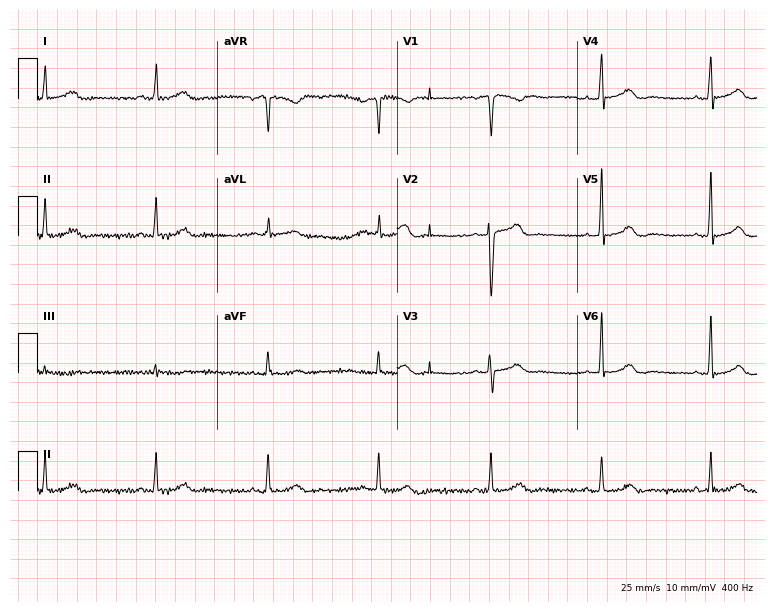
ECG (7.3-second recording at 400 Hz) — a female patient, 55 years old. Labelled as a normal ECG.